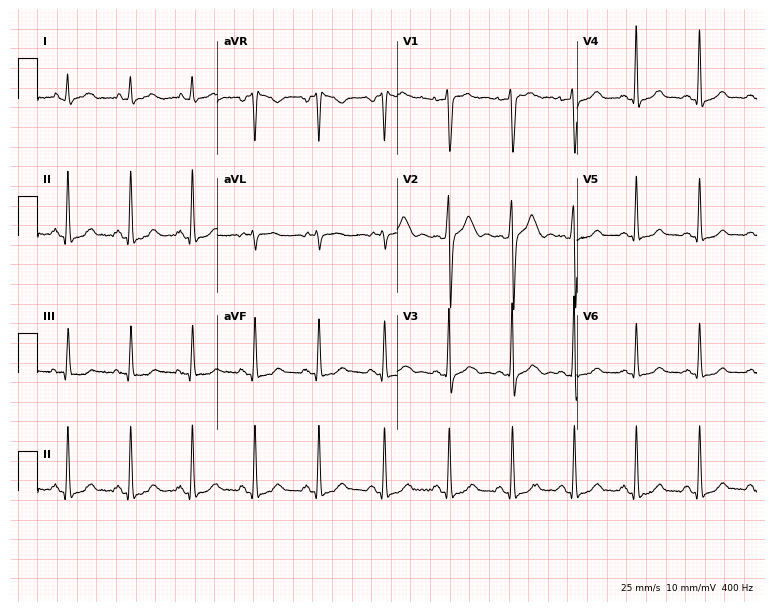
12-lead ECG from a 45-year-old woman. Labelled as a normal ECG.